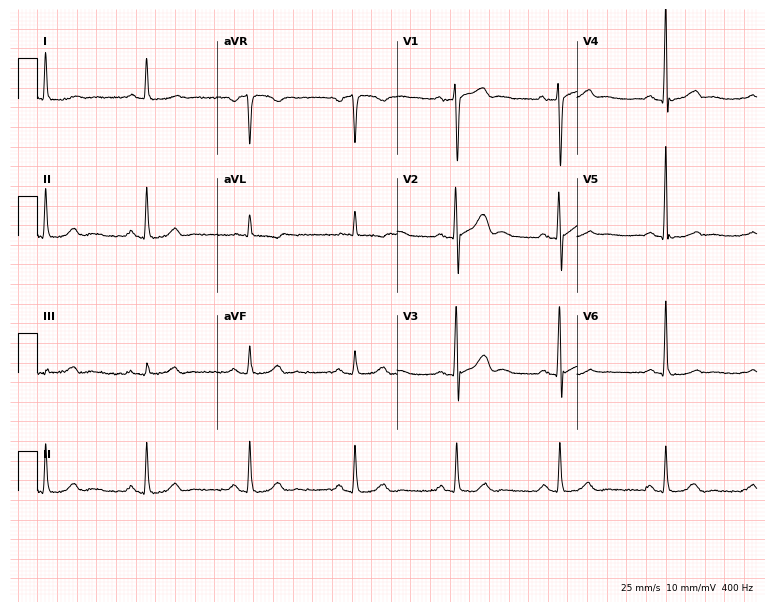
ECG (7.3-second recording at 400 Hz) — a man, 67 years old. Labelled as a normal ECG.